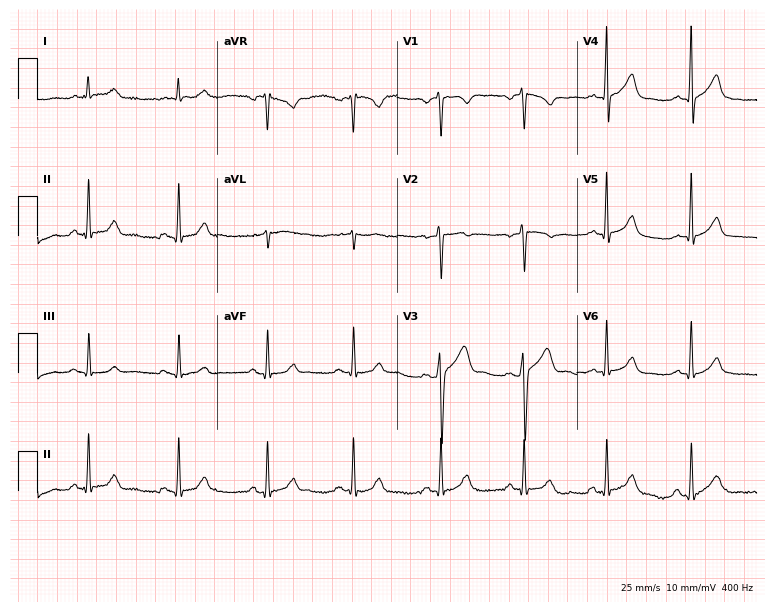
12-lead ECG from a 48-year-old man (7.3-second recording at 400 Hz). No first-degree AV block, right bundle branch block, left bundle branch block, sinus bradycardia, atrial fibrillation or sinus tachycardia recorded for this tracing.